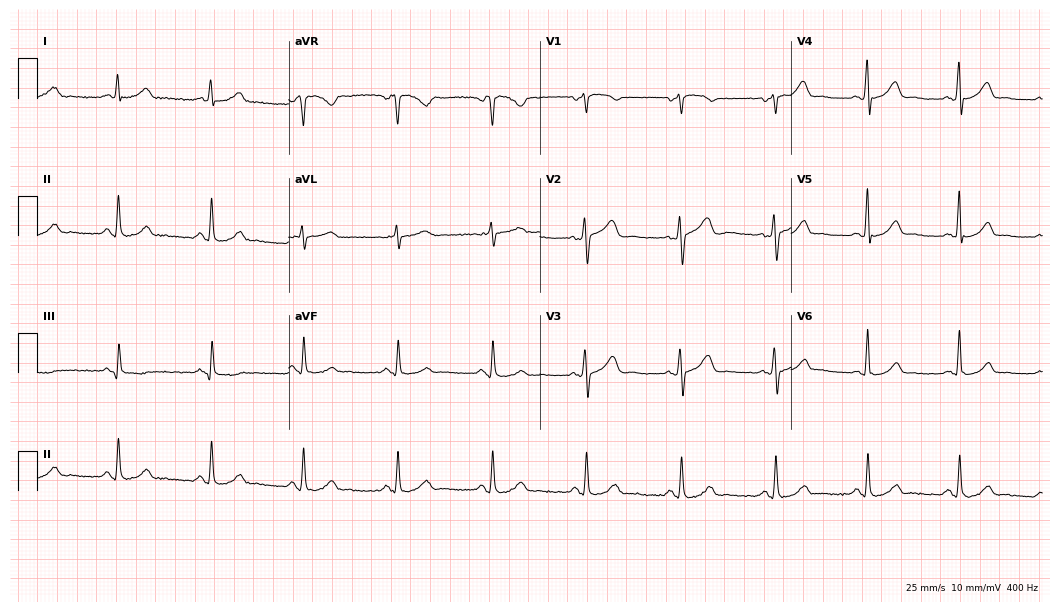
ECG (10.2-second recording at 400 Hz) — a male, 56 years old. Labelled as a normal ECG.